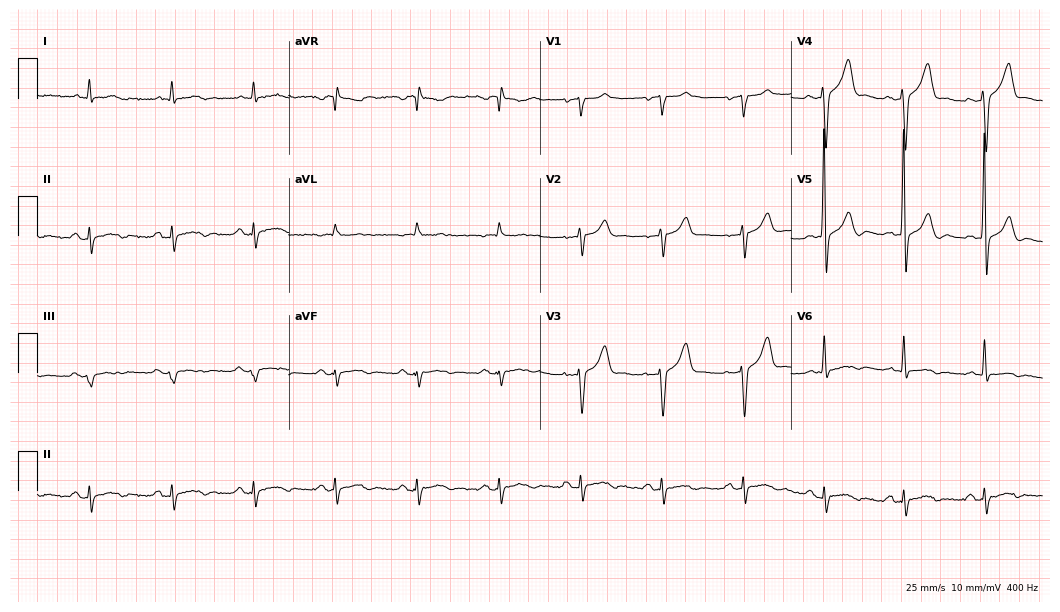
Resting 12-lead electrocardiogram (10.2-second recording at 400 Hz). Patient: a man, 69 years old. None of these six findings is recorded: first-degree AV block, right bundle branch block, left bundle branch block, sinus bradycardia, atrial fibrillation, sinus tachycardia. Other findings, if any, are not listed.